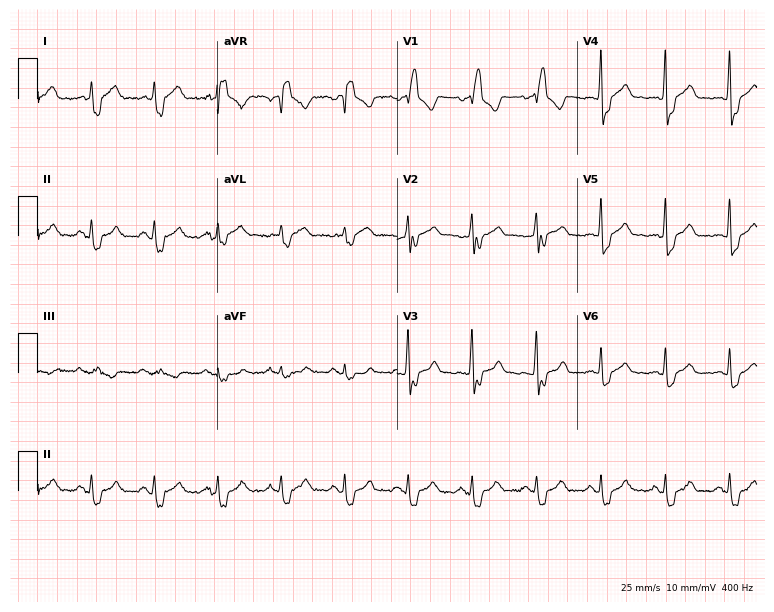
ECG — a 63-year-old man. Screened for six findings — first-degree AV block, right bundle branch block, left bundle branch block, sinus bradycardia, atrial fibrillation, sinus tachycardia — none is recorded.